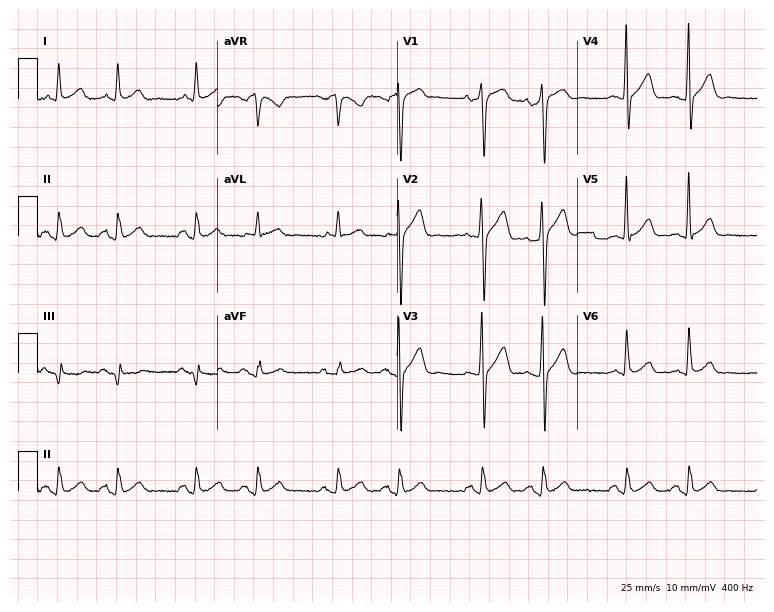
12-lead ECG from a 72-year-old man. No first-degree AV block, right bundle branch block (RBBB), left bundle branch block (LBBB), sinus bradycardia, atrial fibrillation (AF) or sinus tachycardia recorded for this tracing.